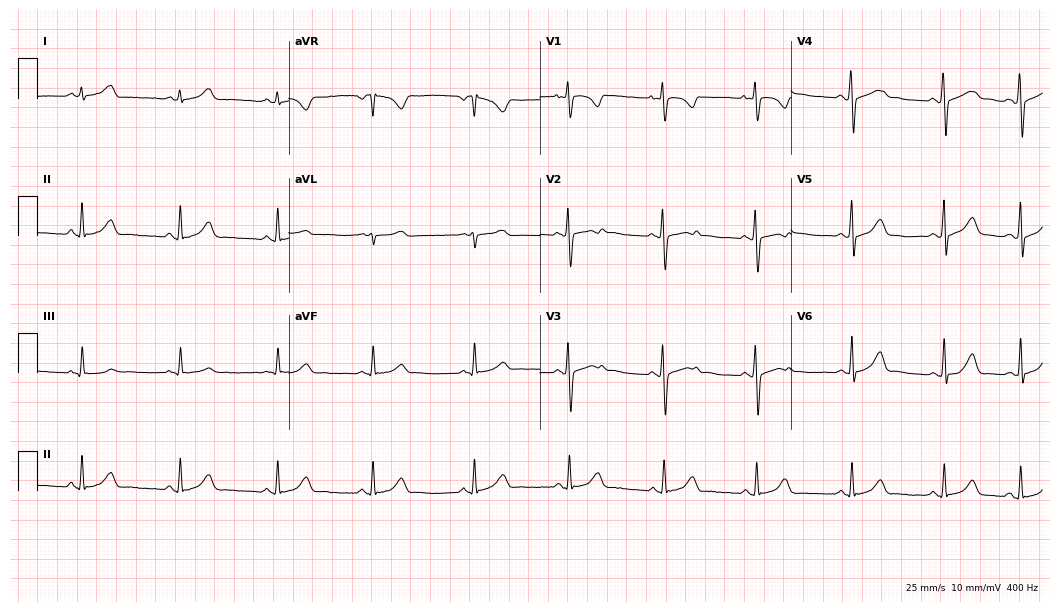
Standard 12-lead ECG recorded from a female, 25 years old. Read as a normal ECG.